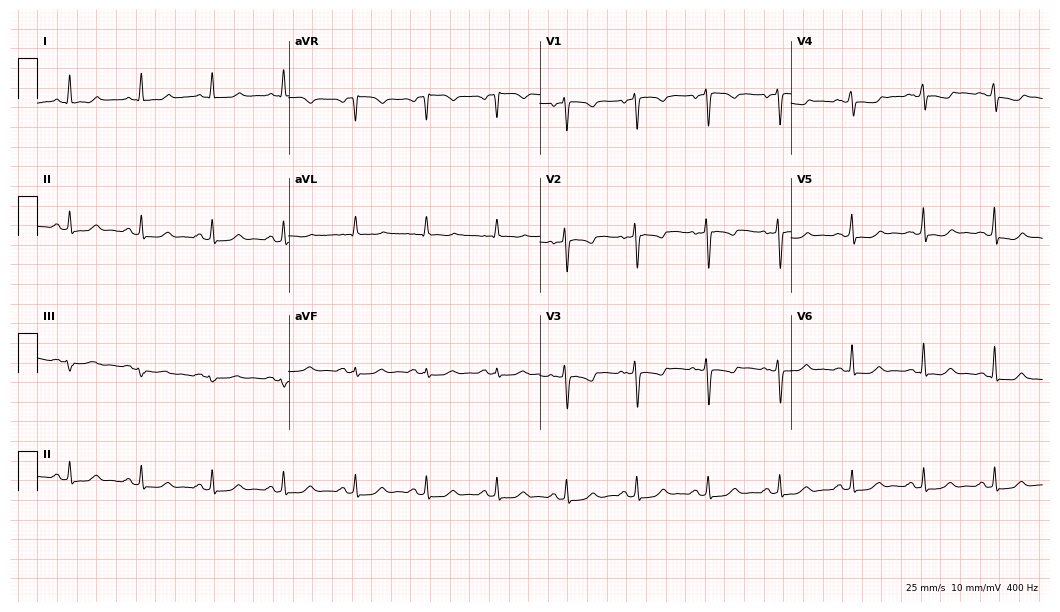
12-lead ECG from a woman, 41 years old. Screened for six findings — first-degree AV block, right bundle branch block (RBBB), left bundle branch block (LBBB), sinus bradycardia, atrial fibrillation (AF), sinus tachycardia — none is recorded.